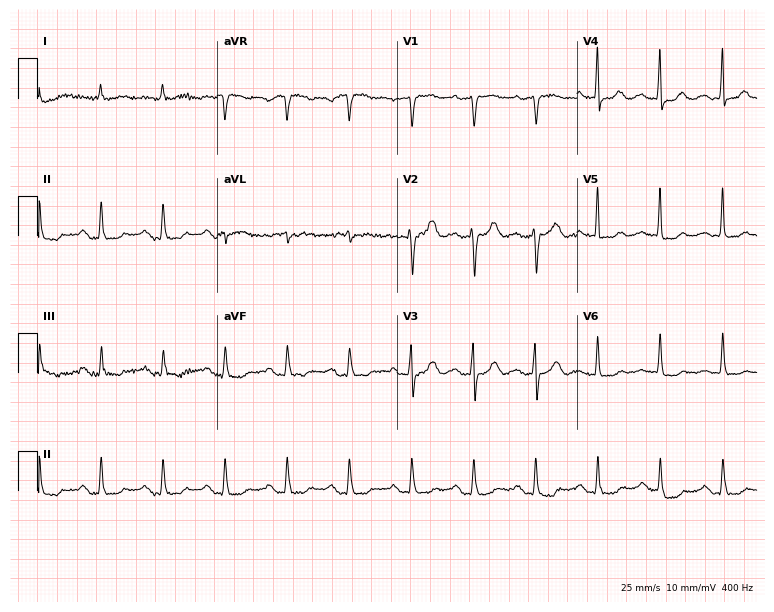
Electrocardiogram (7.3-second recording at 400 Hz), an 84-year-old female. Of the six screened findings (first-degree AV block, right bundle branch block, left bundle branch block, sinus bradycardia, atrial fibrillation, sinus tachycardia), none is recorded.